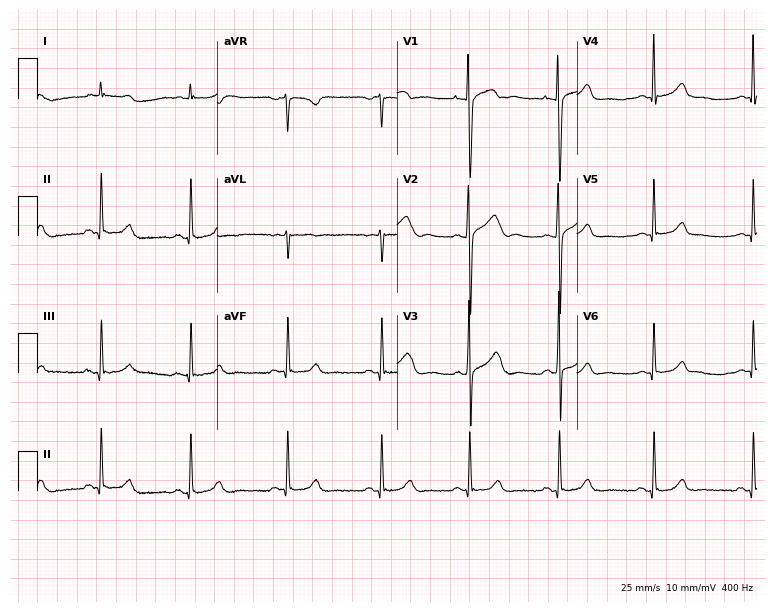
Electrocardiogram (7.3-second recording at 400 Hz), a 25-year-old female patient. Of the six screened findings (first-degree AV block, right bundle branch block, left bundle branch block, sinus bradycardia, atrial fibrillation, sinus tachycardia), none is recorded. Findings outside these six are not listed.